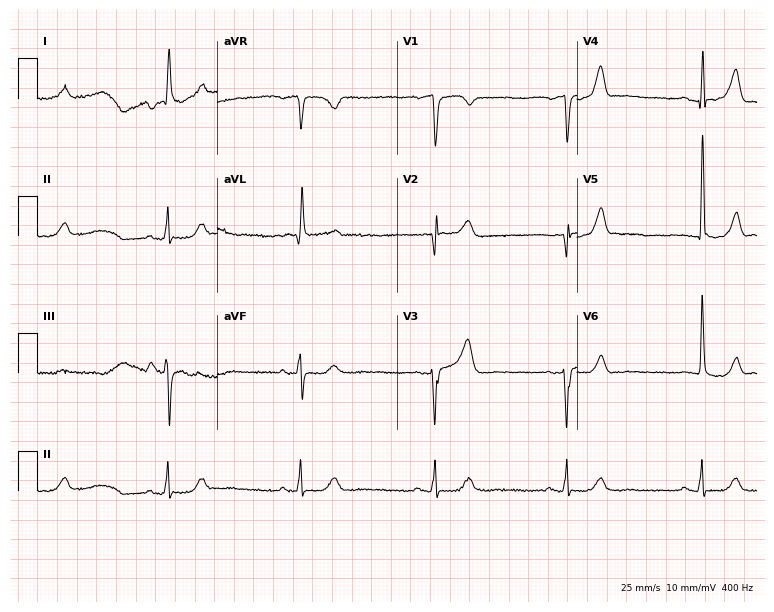
12-lead ECG (7.3-second recording at 400 Hz) from a male, 85 years old. Screened for six findings — first-degree AV block, right bundle branch block, left bundle branch block, sinus bradycardia, atrial fibrillation, sinus tachycardia — none is recorded. Other findings, if any, are not listed.